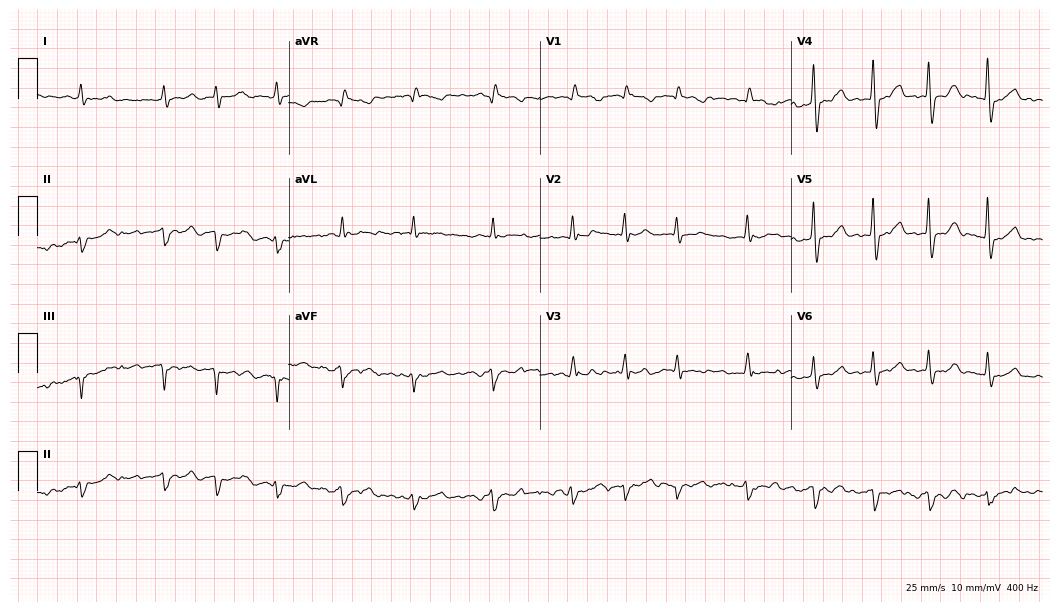
Electrocardiogram (10.2-second recording at 400 Hz), a male patient, 76 years old. Interpretation includes atrial fibrillation (AF).